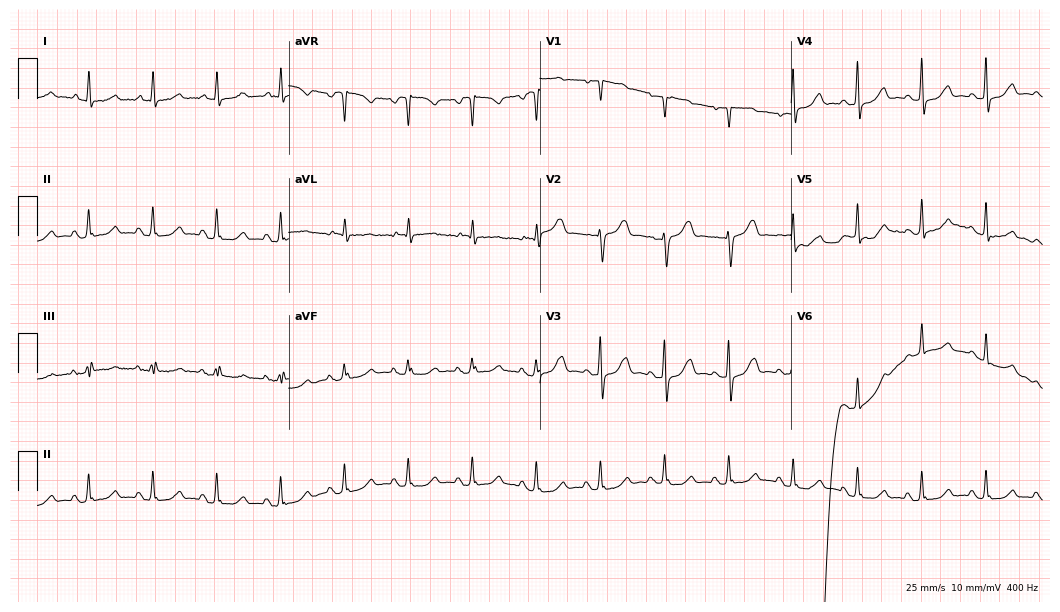
12-lead ECG (10.2-second recording at 400 Hz) from an 82-year-old female patient. Labelled as a normal ECG.